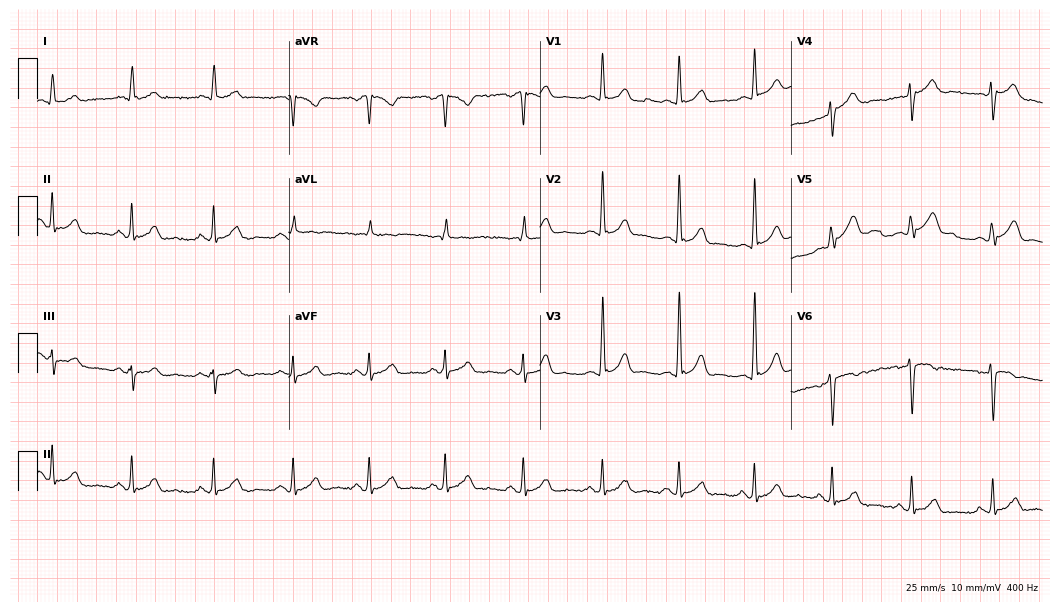
12-lead ECG from a 32-year-old male patient. Recorded interpretation: within normal limits.